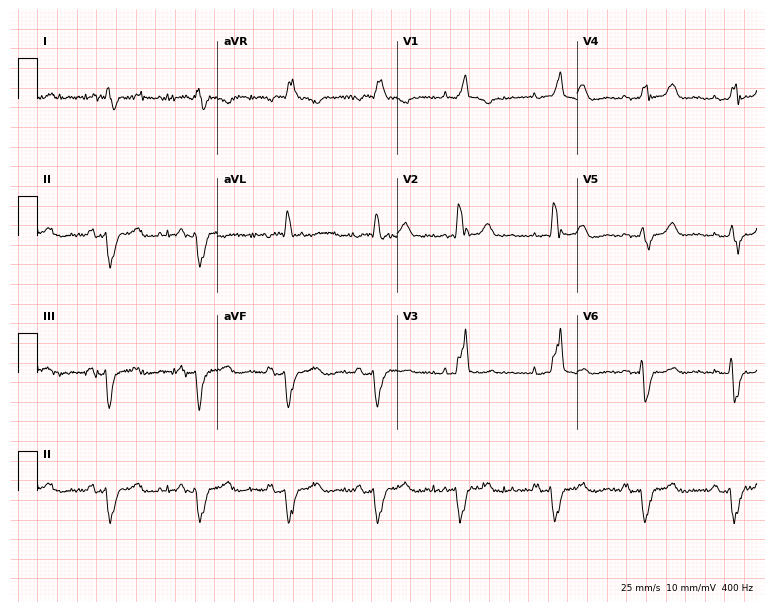
12-lead ECG from a 77-year-old female. No first-degree AV block, right bundle branch block, left bundle branch block, sinus bradycardia, atrial fibrillation or sinus tachycardia recorded for this tracing.